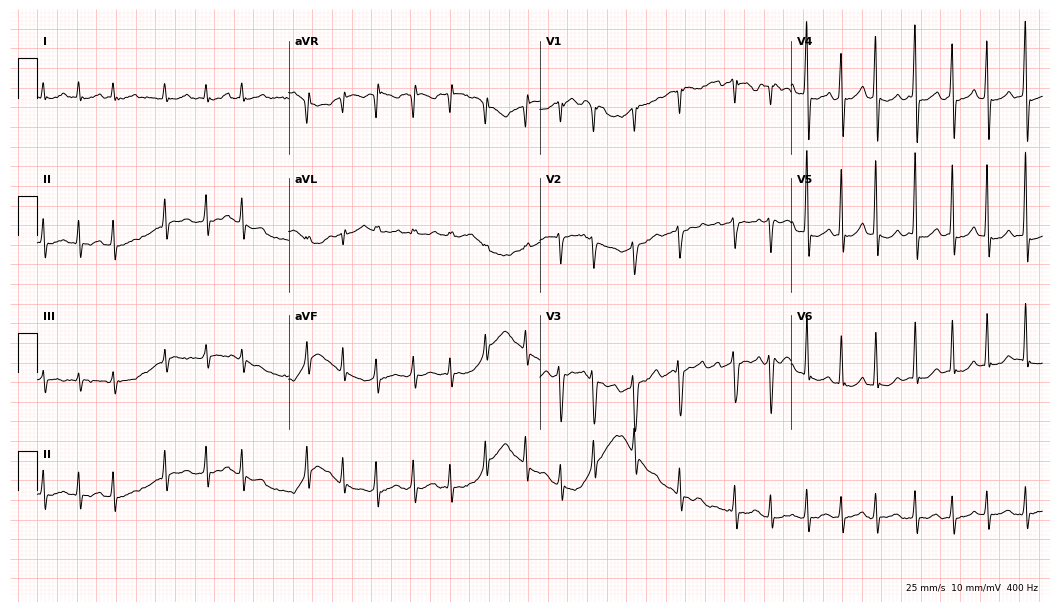
12-lead ECG from a 70-year-old woman. Screened for six findings — first-degree AV block, right bundle branch block (RBBB), left bundle branch block (LBBB), sinus bradycardia, atrial fibrillation (AF), sinus tachycardia — none is recorded. Other findings, if any, are not listed.